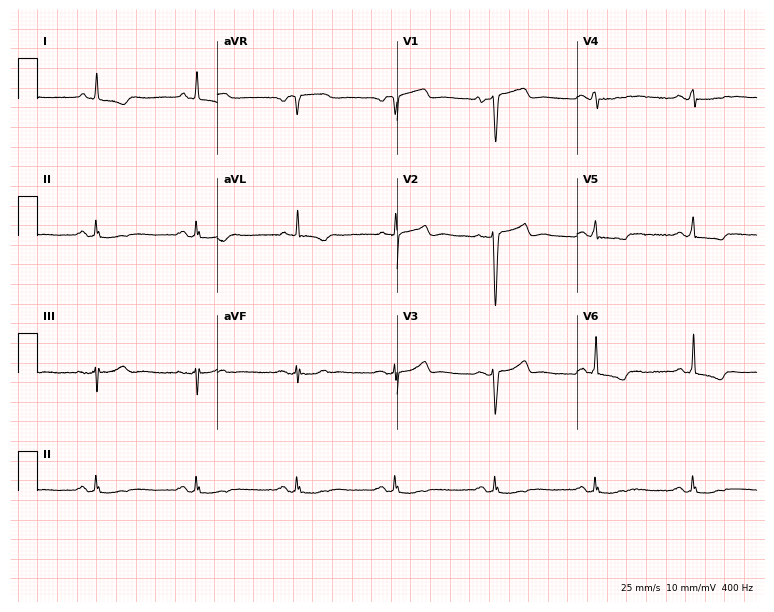
12-lead ECG from a 62-year-old male patient. No first-degree AV block, right bundle branch block, left bundle branch block, sinus bradycardia, atrial fibrillation or sinus tachycardia recorded for this tracing.